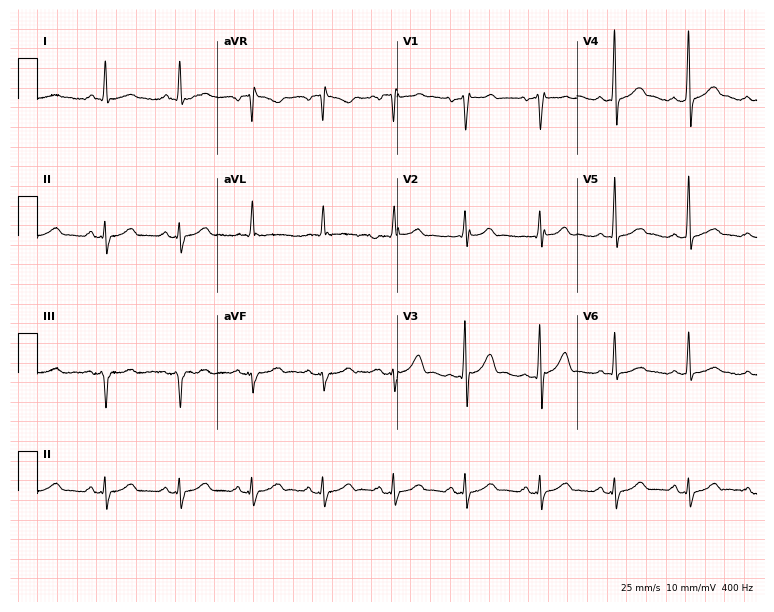
Electrocardiogram (7.3-second recording at 400 Hz), a 44-year-old male. Of the six screened findings (first-degree AV block, right bundle branch block, left bundle branch block, sinus bradycardia, atrial fibrillation, sinus tachycardia), none is recorded. Only these six findings were labelled.